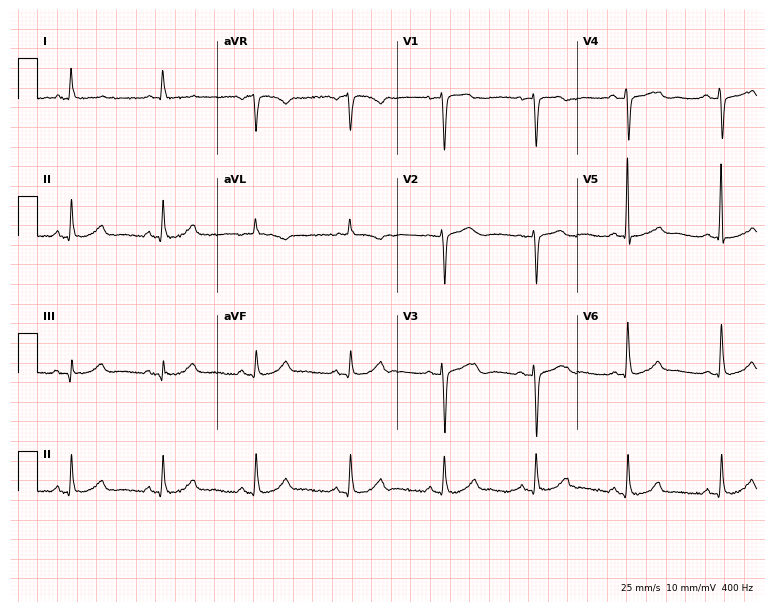
ECG — a female, 75 years old. Screened for six findings — first-degree AV block, right bundle branch block (RBBB), left bundle branch block (LBBB), sinus bradycardia, atrial fibrillation (AF), sinus tachycardia — none is recorded. Only these six findings were labelled.